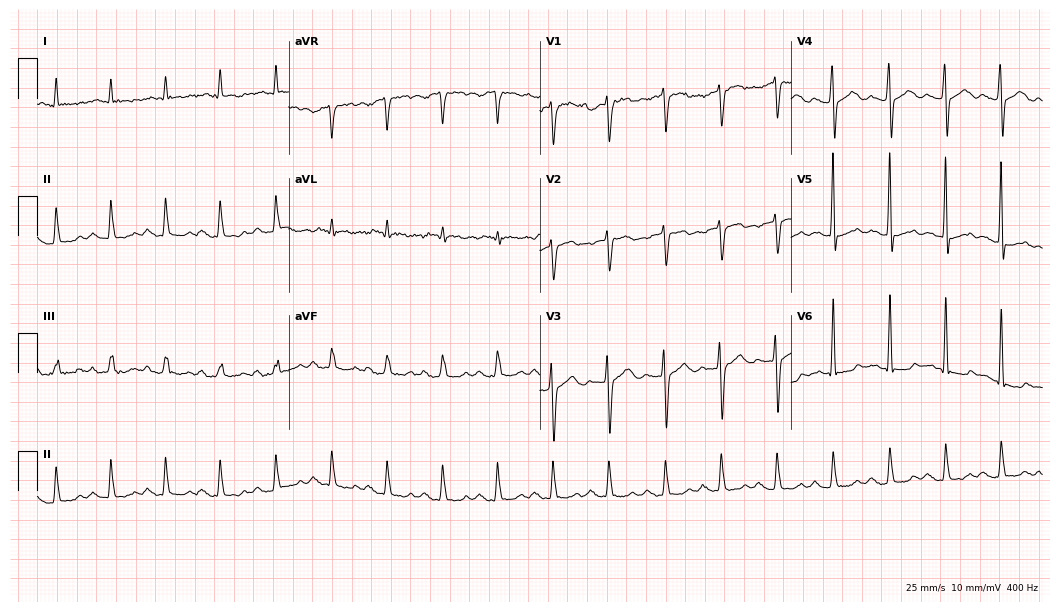
Resting 12-lead electrocardiogram. Patient: a man, 57 years old. The tracing shows first-degree AV block.